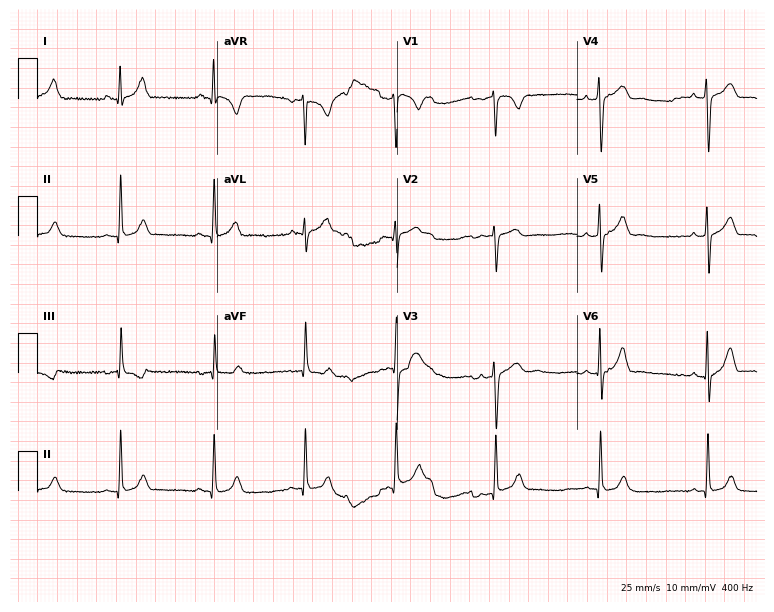
ECG (7.3-second recording at 400 Hz) — a 30-year-old female. Labelled as a normal ECG.